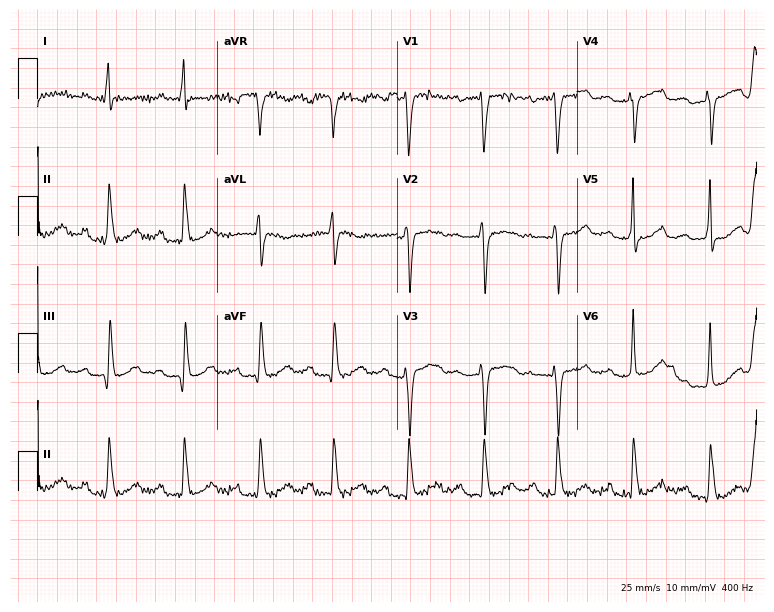
12-lead ECG from a 56-year-old female (7.3-second recording at 400 Hz). Shows first-degree AV block, left bundle branch block.